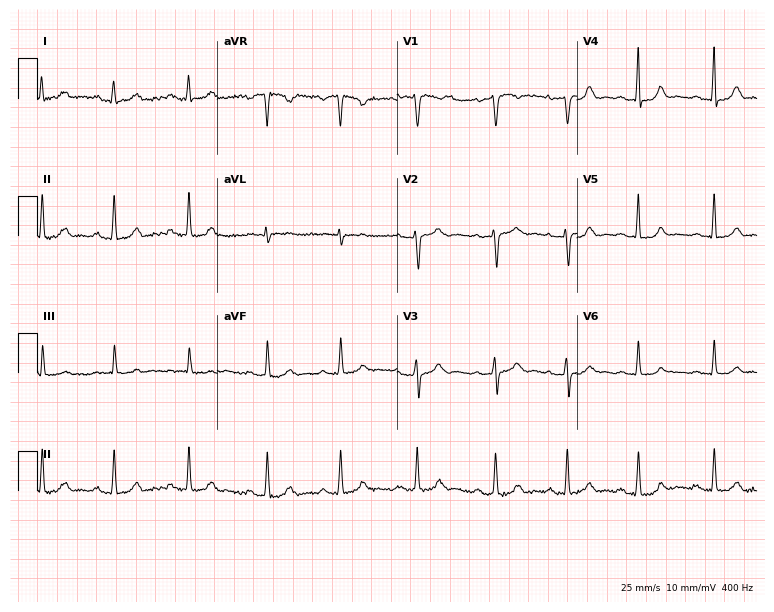
Resting 12-lead electrocardiogram. Patient: a woman, 22 years old. None of these six findings is recorded: first-degree AV block, right bundle branch block, left bundle branch block, sinus bradycardia, atrial fibrillation, sinus tachycardia. Findings outside these six are not listed.